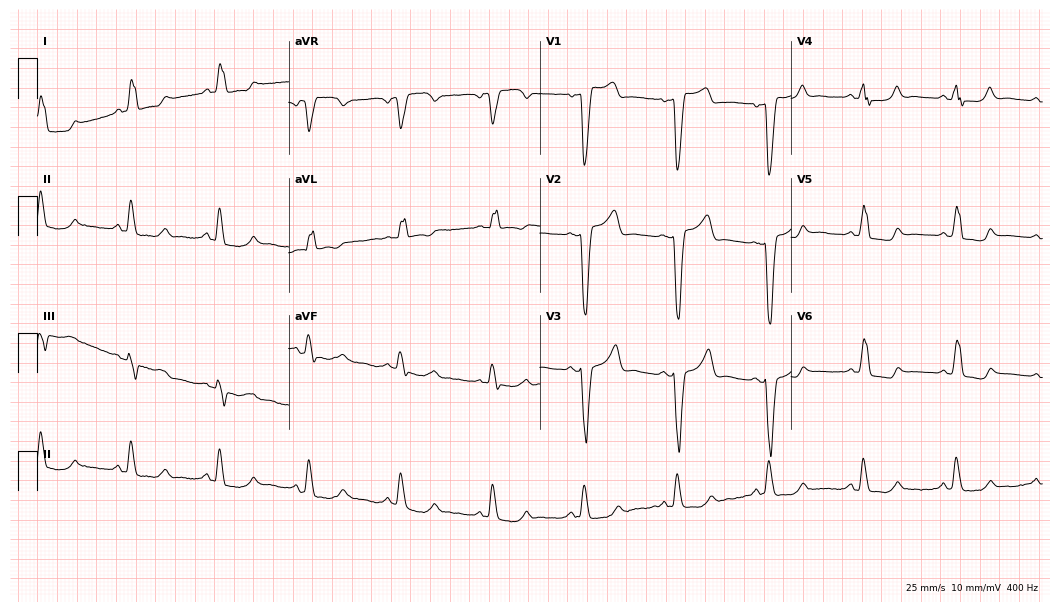
ECG (10.2-second recording at 400 Hz) — a 62-year-old female patient. Findings include left bundle branch block (LBBB).